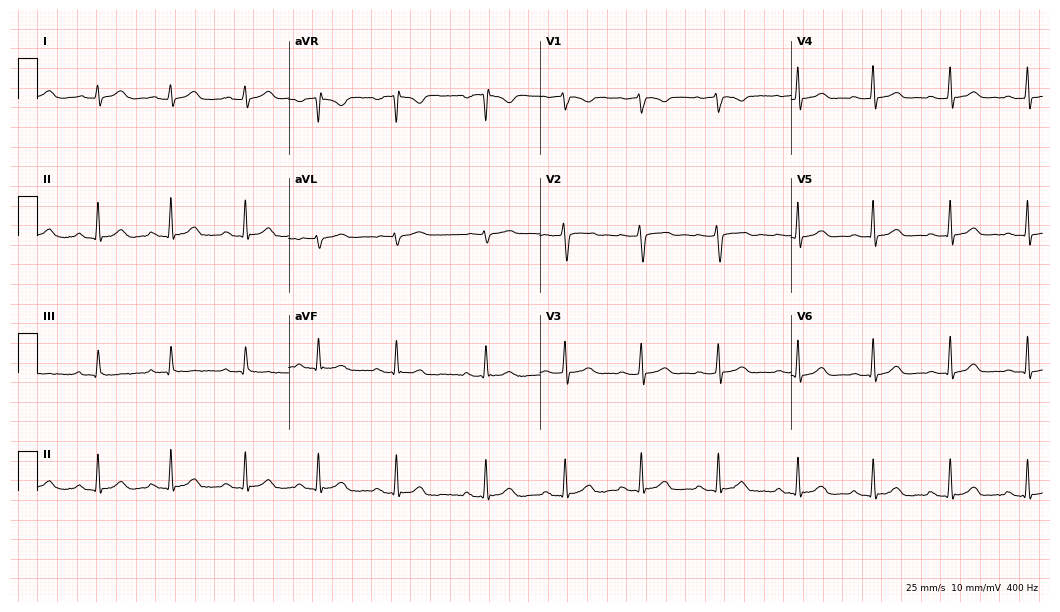
Electrocardiogram, a 38-year-old female patient. Overall reading on record: normal ECG.